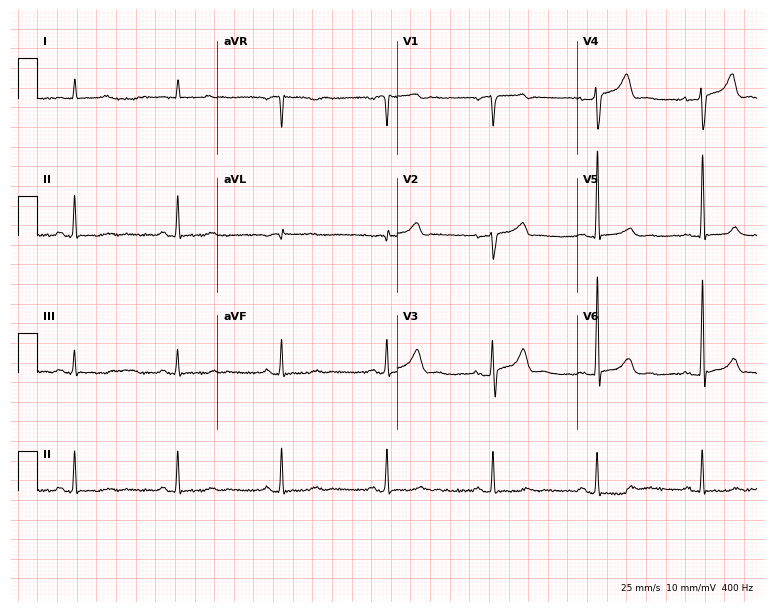
Resting 12-lead electrocardiogram. Patient: a 72-year-old male. None of these six findings is recorded: first-degree AV block, right bundle branch block (RBBB), left bundle branch block (LBBB), sinus bradycardia, atrial fibrillation (AF), sinus tachycardia.